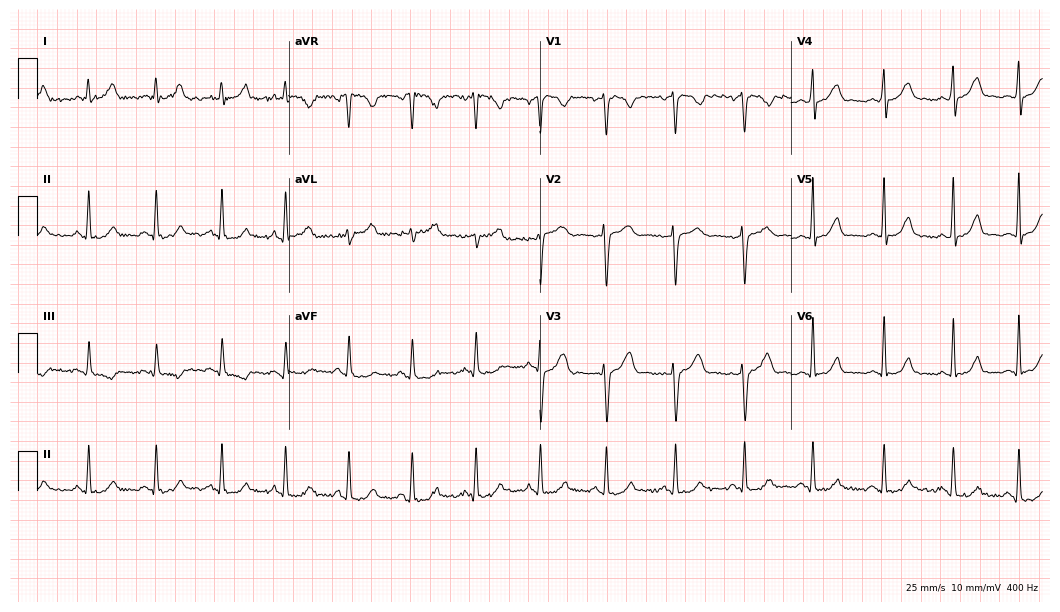
Resting 12-lead electrocardiogram. Patient: a female, 32 years old. None of these six findings is recorded: first-degree AV block, right bundle branch block, left bundle branch block, sinus bradycardia, atrial fibrillation, sinus tachycardia.